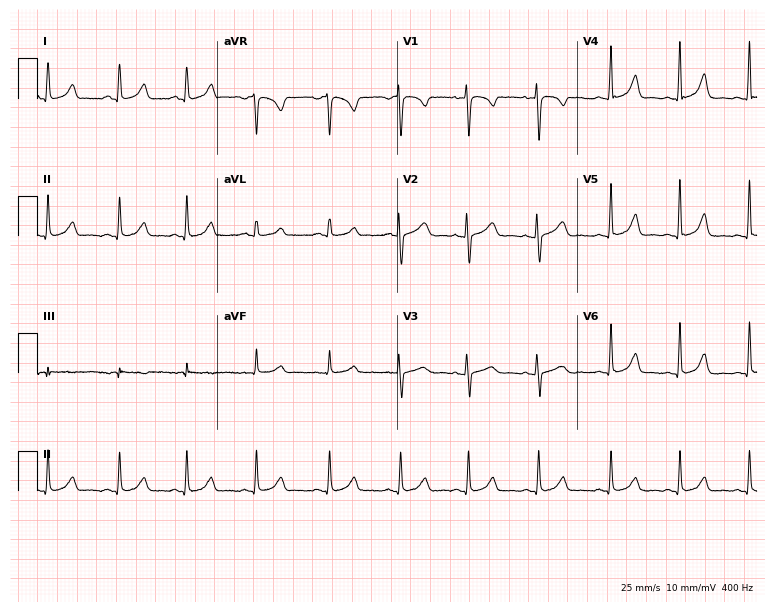
Standard 12-lead ECG recorded from a woman, 24 years old. Read as a normal ECG.